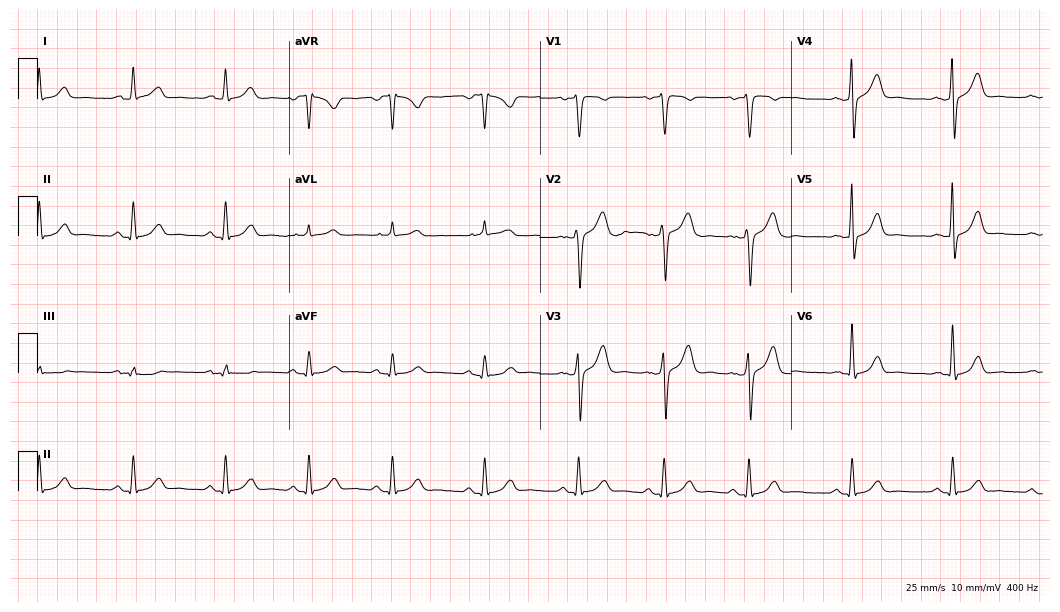
ECG (10.2-second recording at 400 Hz) — a male patient, 39 years old. Labelled as a normal ECG.